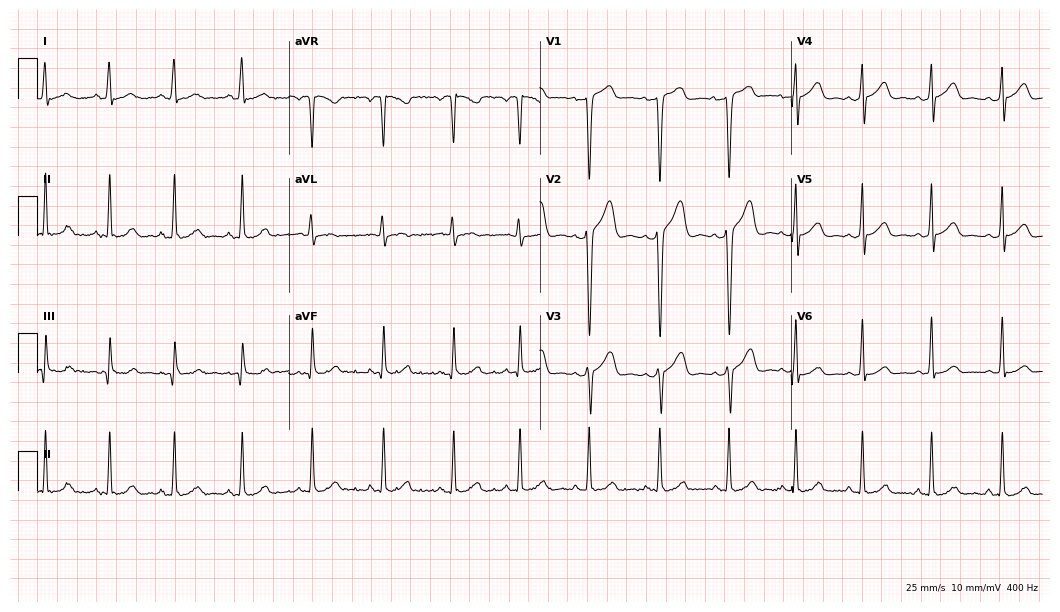
Standard 12-lead ECG recorded from a female patient, 21 years old. None of these six findings is recorded: first-degree AV block, right bundle branch block, left bundle branch block, sinus bradycardia, atrial fibrillation, sinus tachycardia. Only these six findings were labelled.